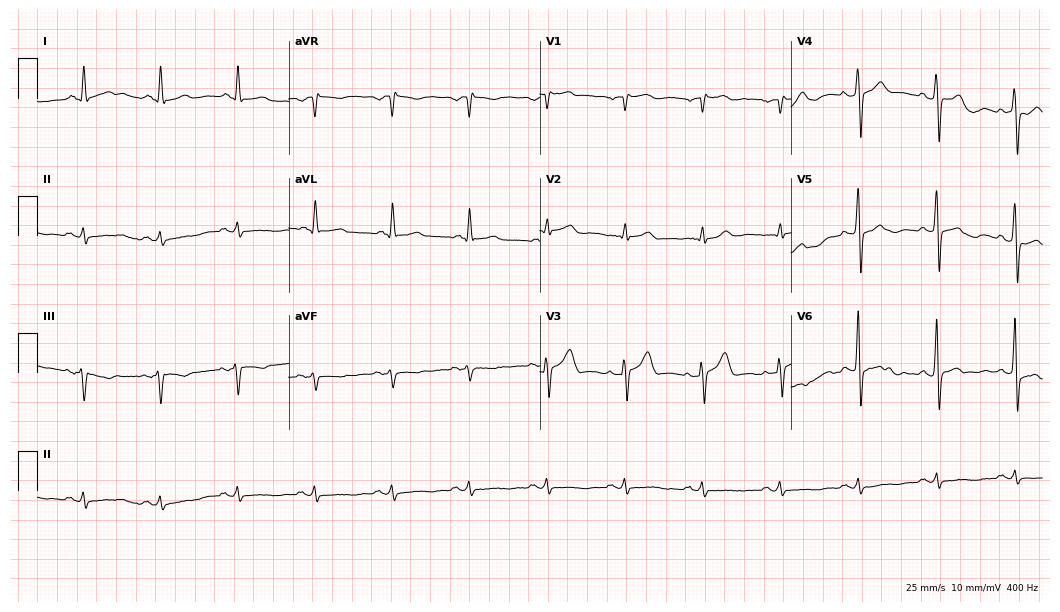
12-lead ECG from a male patient, 59 years old. Screened for six findings — first-degree AV block, right bundle branch block, left bundle branch block, sinus bradycardia, atrial fibrillation, sinus tachycardia — none is recorded. Other findings, if any, are not listed.